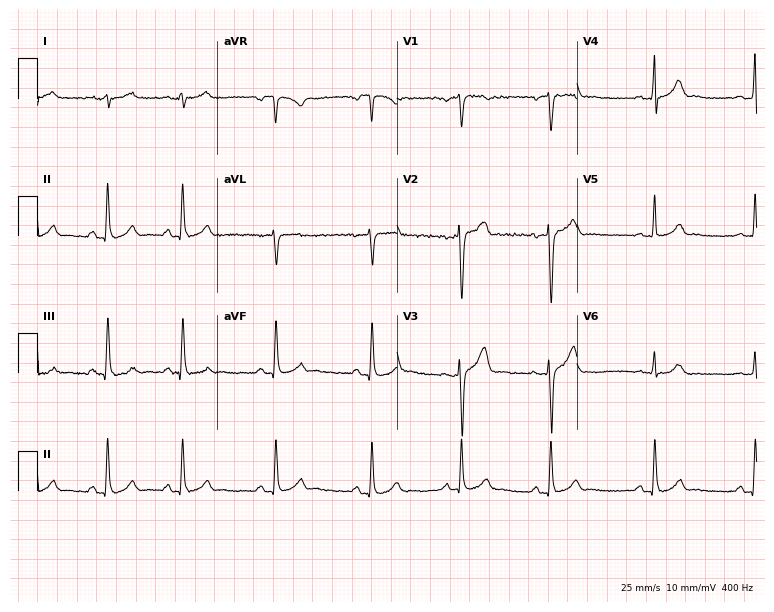
Standard 12-lead ECG recorded from a man, 23 years old (7.3-second recording at 400 Hz). Read as a normal ECG.